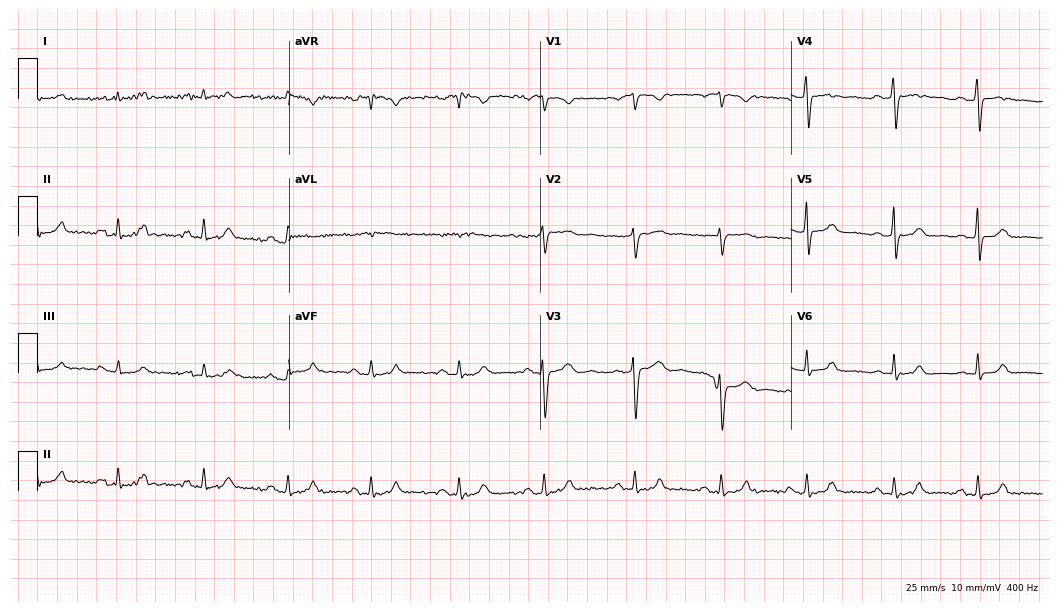
ECG (10.2-second recording at 400 Hz) — a woman, 27 years old. Labelled as a normal ECG.